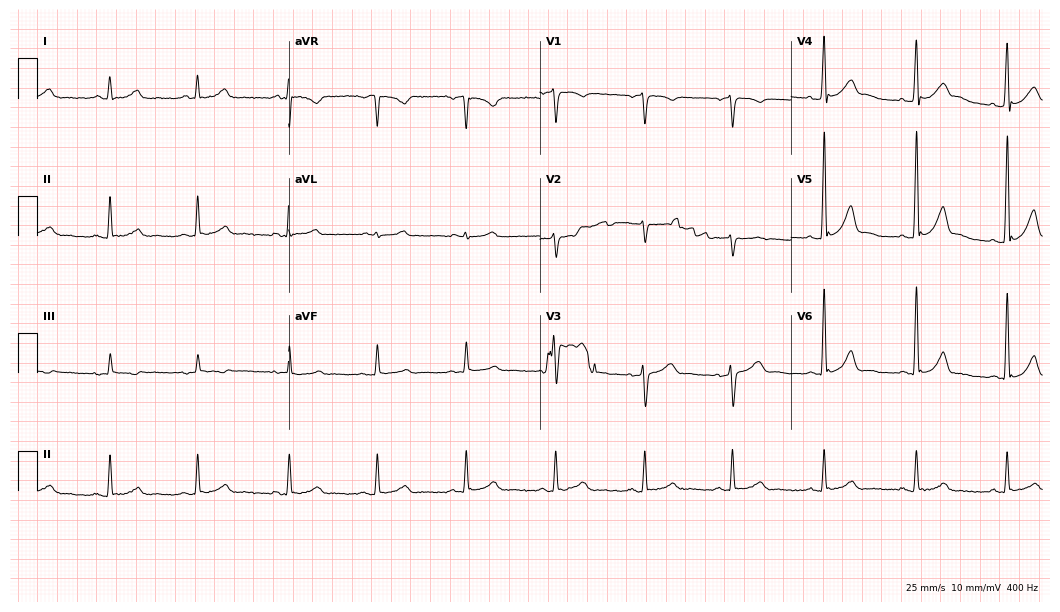
Resting 12-lead electrocardiogram (10.2-second recording at 400 Hz). Patient: a male, 53 years old. None of these six findings is recorded: first-degree AV block, right bundle branch block, left bundle branch block, sinus bradycardia, atrial fibrillation, sinus tachycardia. Other findings, if any, are not listed.